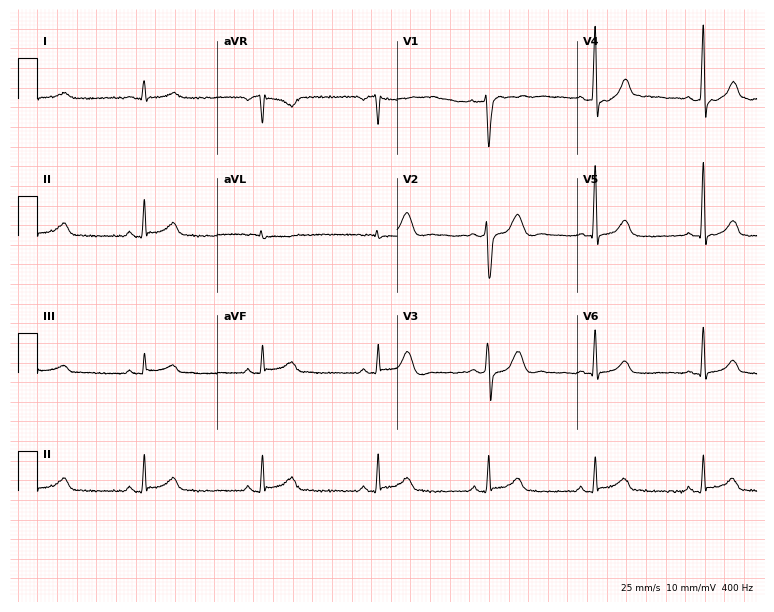
Resting 12-lead electrocardiogram. Patient: a 51-year-old man. Read as a normal ECG.